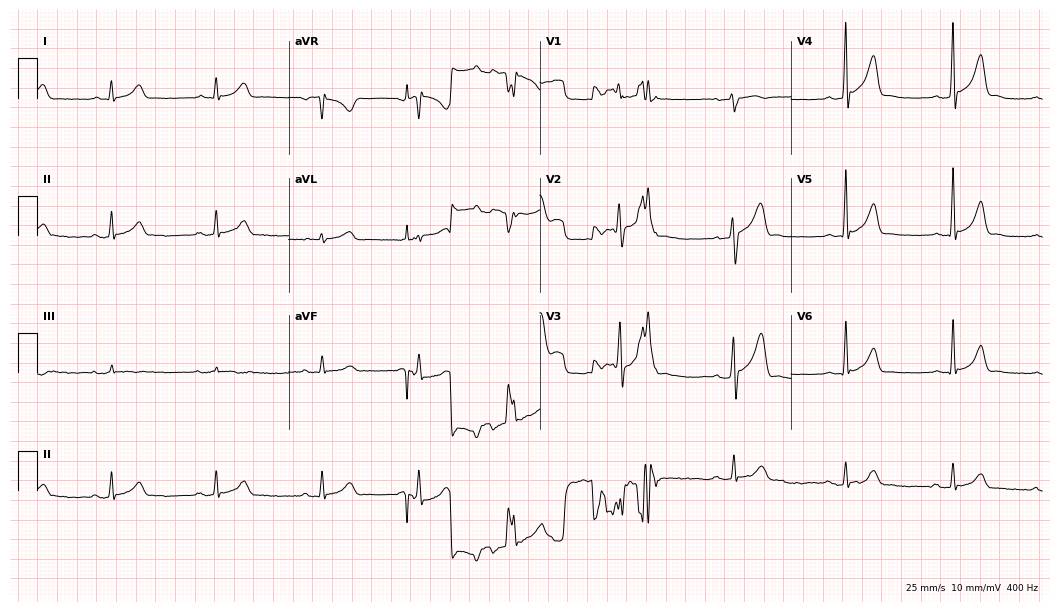
ECG — a man, 34 years old. Labelled as a normal ECG.